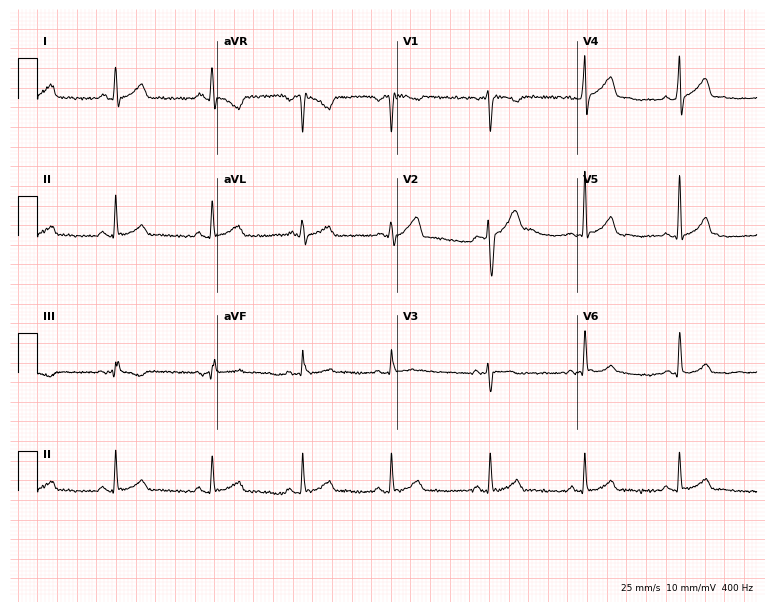
12-lead ECG (7.3-second recording at 400 Hz) from a male, 22 years old. Labelled as a normal ECG.